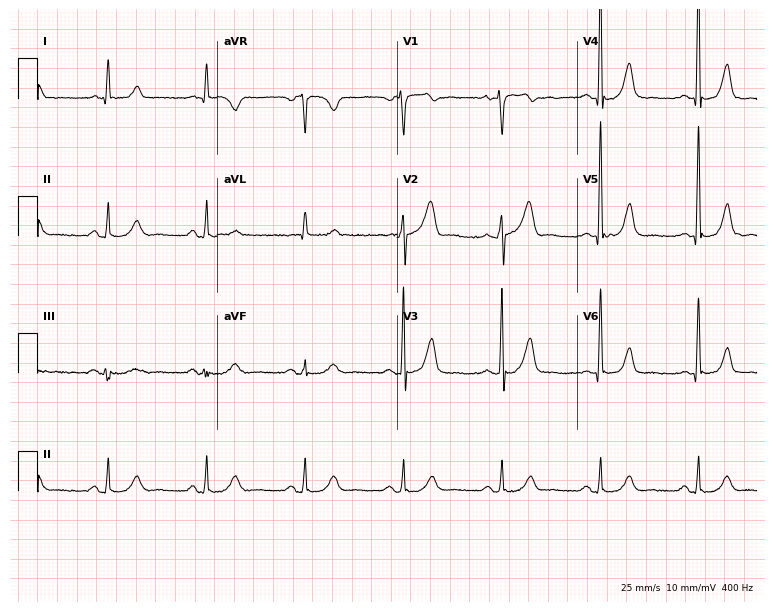
12-lead ECG from a 77-year-old male. No first-degree AV block, right bundle branch block, left bundle branch block, sinus bradycardia, atrial fibrillation or sinus tachycardia recorded for this tracing. Other findings, if any, are not listed.